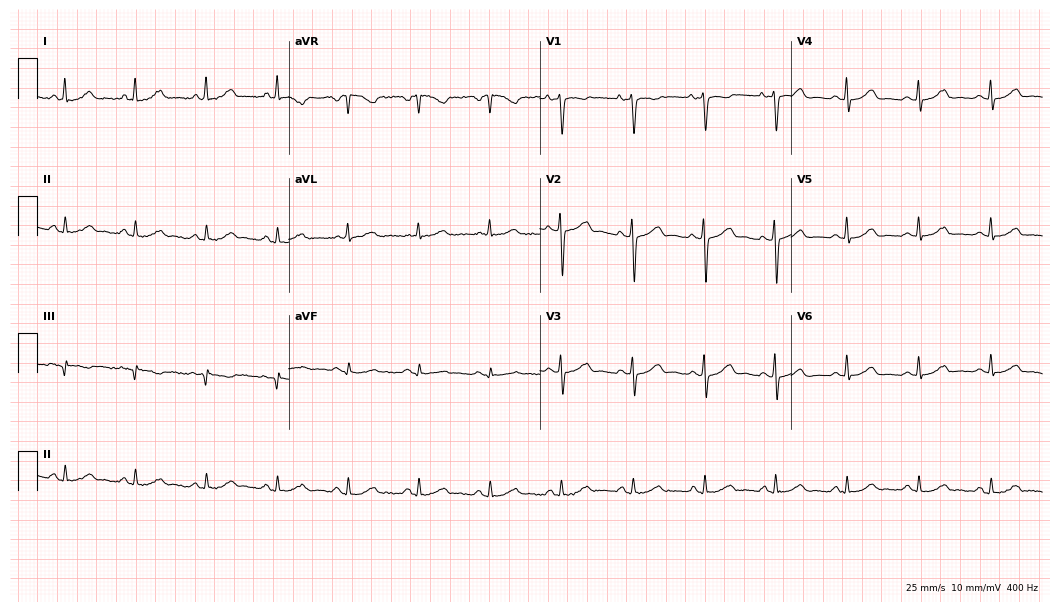
ECG (10.2-second recording at 400 Hz) — a 47-year-old woman. Screened for six findings — first-degree AV block, right bundle branch block, left bundle branch block, sinus bradycardia, atrial fibrillation, sinus tachycardia — none is recorded.